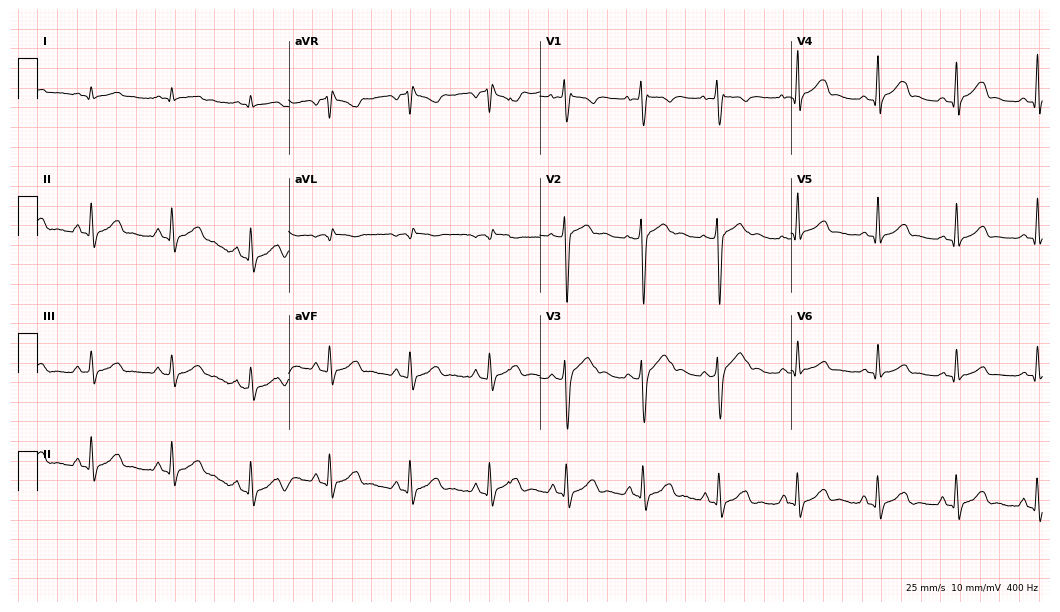
ECG — a male, 18 years old. Screened for six findings — first-degree AV block, right bundle branch block, left bundle branch block, sinus bradycardia, atrial fibrillation, sinus tachycardia — none is recorded.